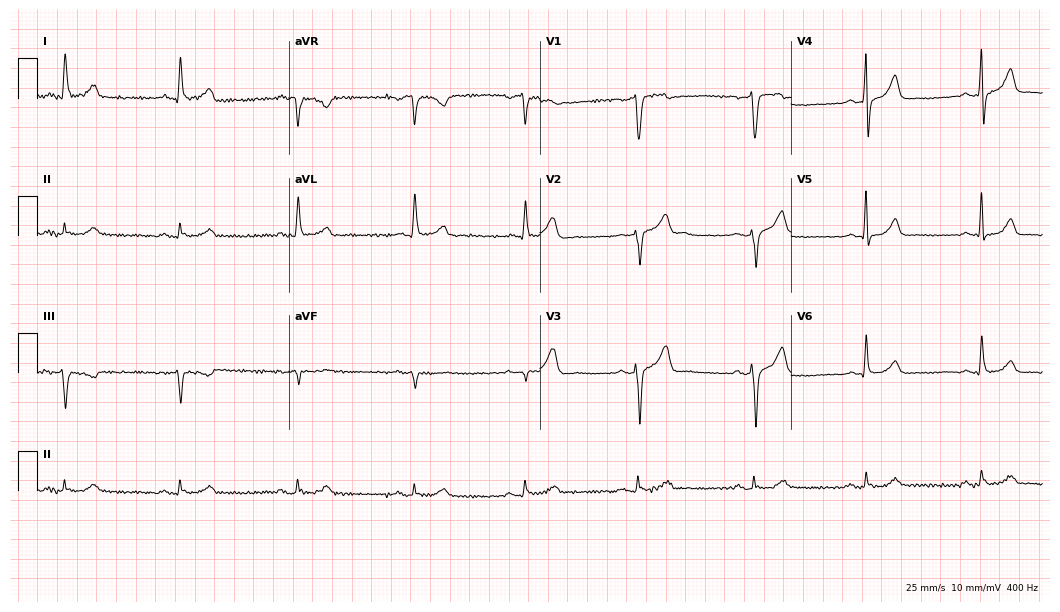
Resting 12-lead electrocardiogram. Patient: a 73-year-old man. Read as a normal ECG.